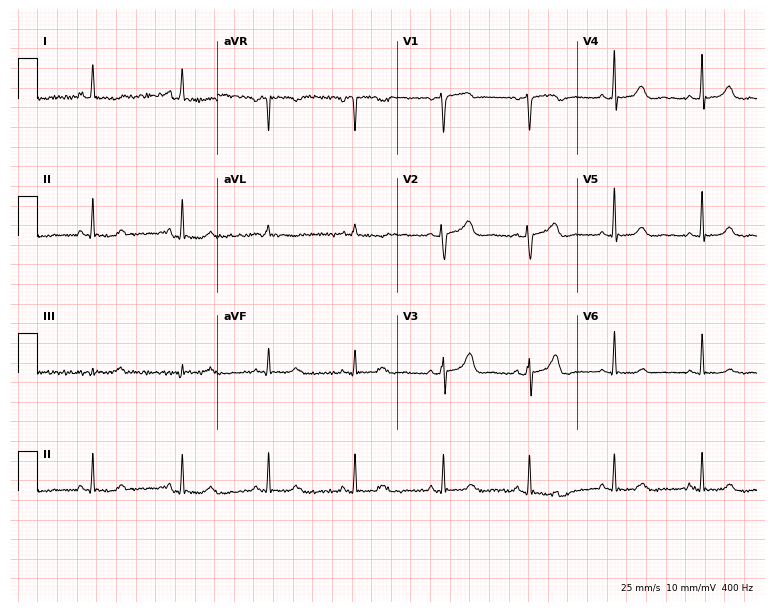
Resting 12-lead electrocardiogram (7.3-second recording at 400 Hz). Patient: a 47-year-old woman. Read as a normal ECG.